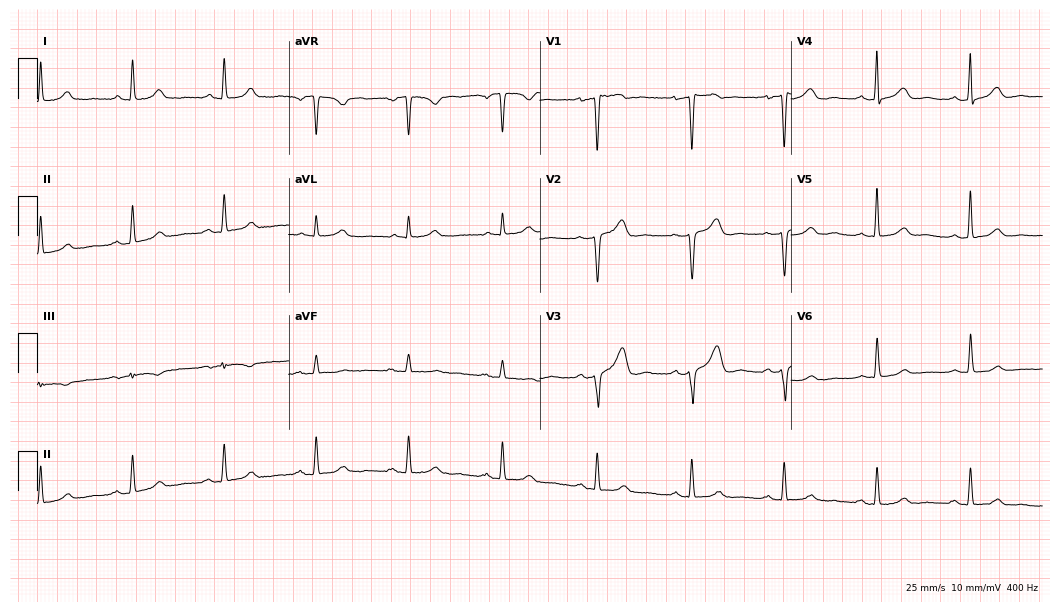
Standard 12-lead ECG recorded from a woman, 50 years old. None of these six findings is recorded: first-degree AV block, right bundle branch block, left bundle branch block, sinus bradycardia, atrial fibrillation, sinus tachycardia. Other findings, if any, are not listed.